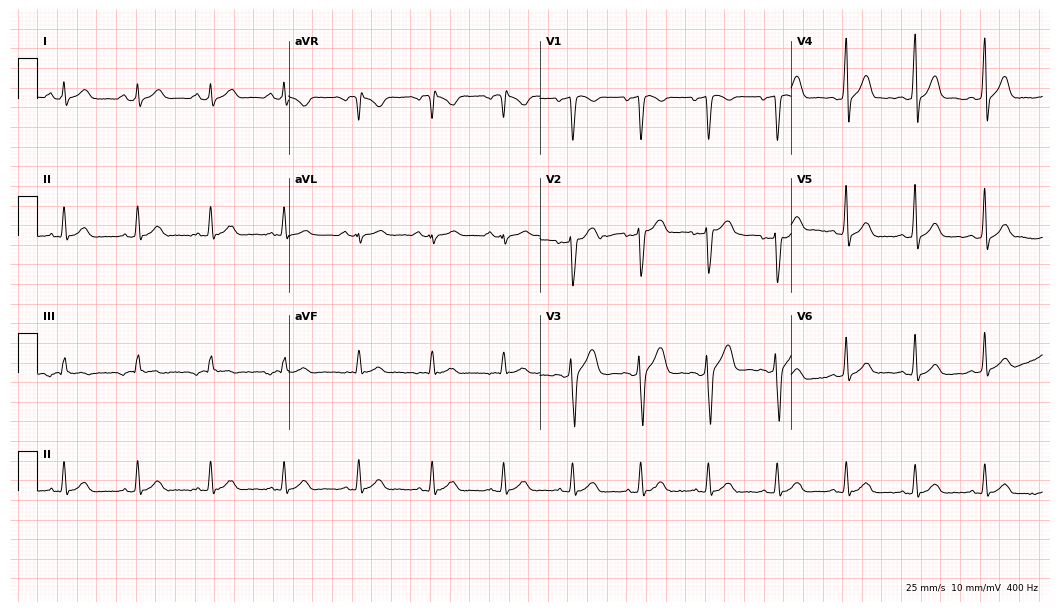
Resting 12-lead electrocardiogram. Patient: a man, 37 years old. Read as a normal ECG.